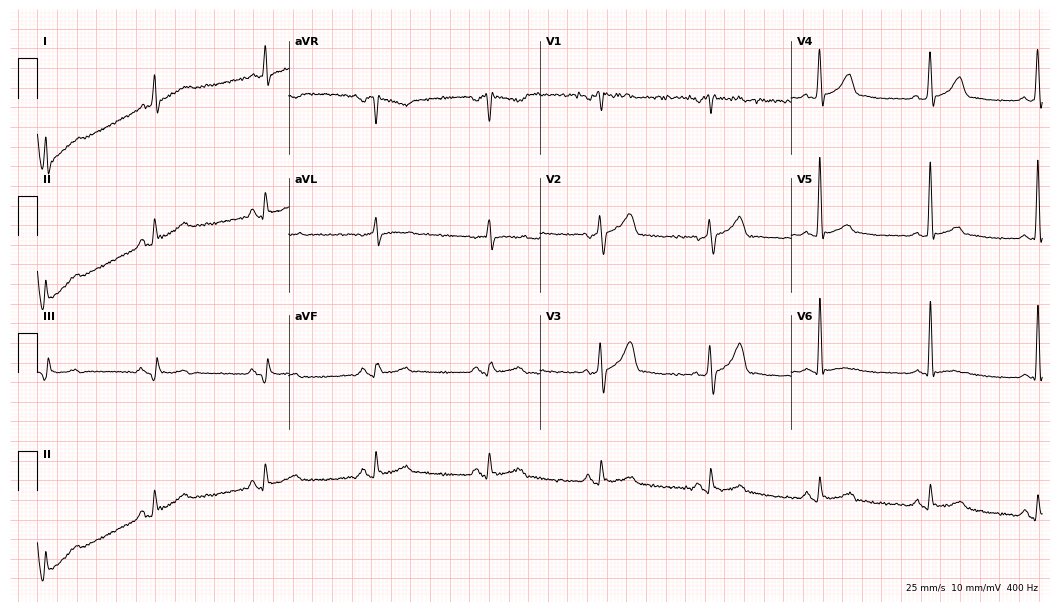
Electrocardiogram (10.2-second recording at 400 Hz), a 50-year-old male patient. Of the six screened findings (first-degree AV block, right bundle branch block (RBBB), left bundle branch block (LBBB), sinus bradycardia, atrial fibrillation (AF), sinus tachycardia), none is recorded.